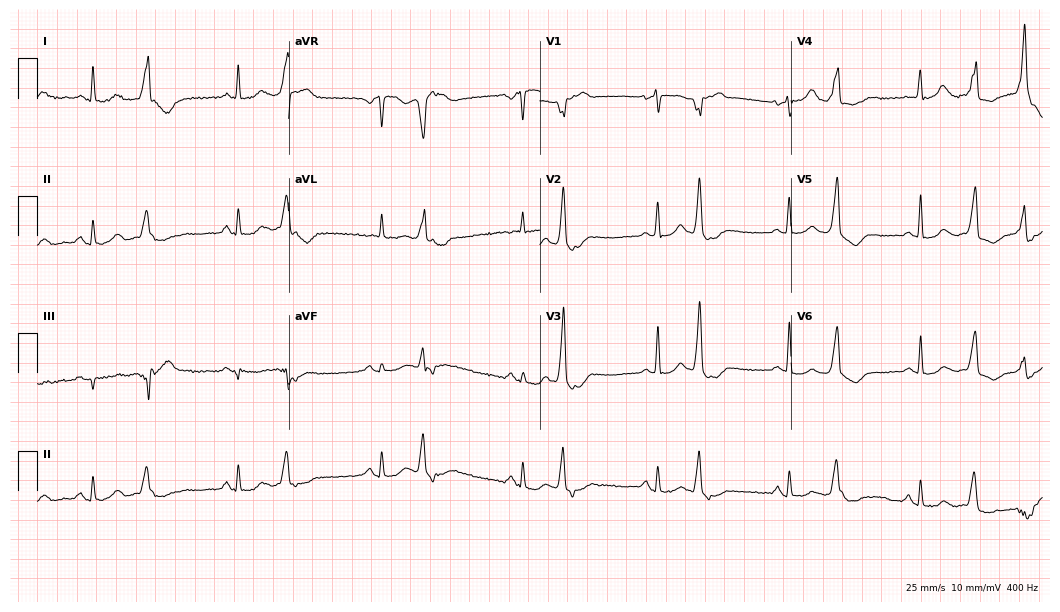
ECG (10.2-second recording at 400 Hz) — an 80-year-old woman. Labelled as a normal ECG.